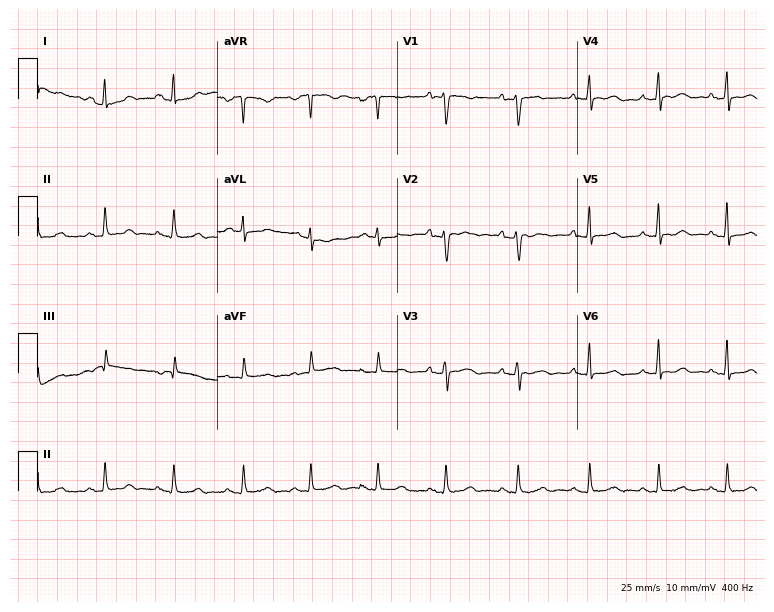
Resting 12-lead electrocardiogram. Patient: a 42-year-old female. None of these six findings is recorded: first-degree AV block, right bundle branch block (RBBB), left bundle branch block (LBBB), sinus bradycardia, atrial fibrillation (AF), sinus tachycardia.